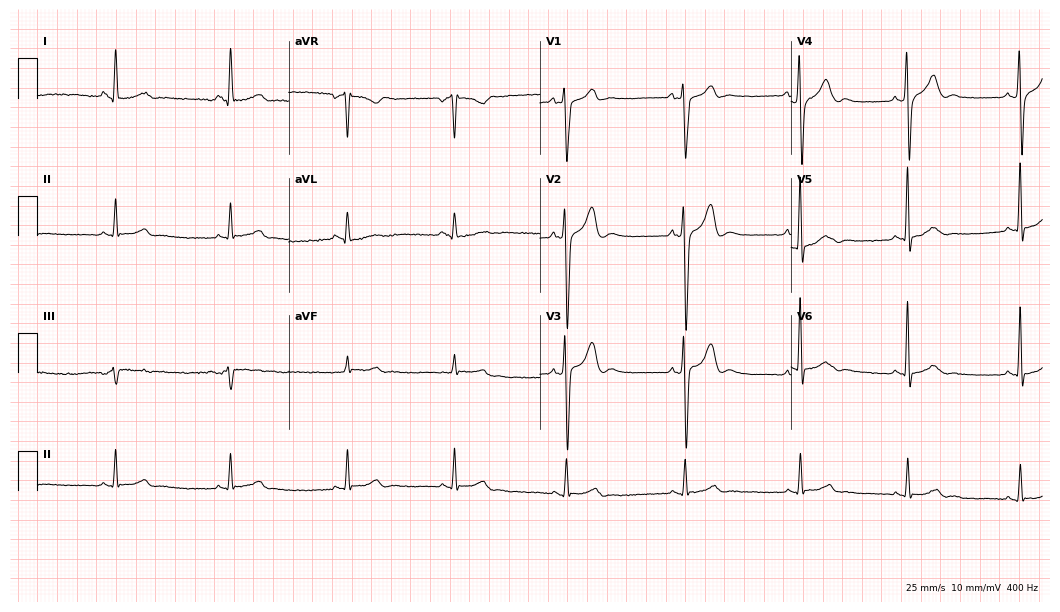
Standard 12-lead ECG recorded from a 43-year-old male (10.2-second recording at 400 Hz). None of these six findings is recorded: first-degree AV block, right bundle branch block (RBBB), left bundle branch block (LBBB), sinus bradycardia, atrial fibrillation (AF), sinus tachycardia. Only these six findings were labelled.